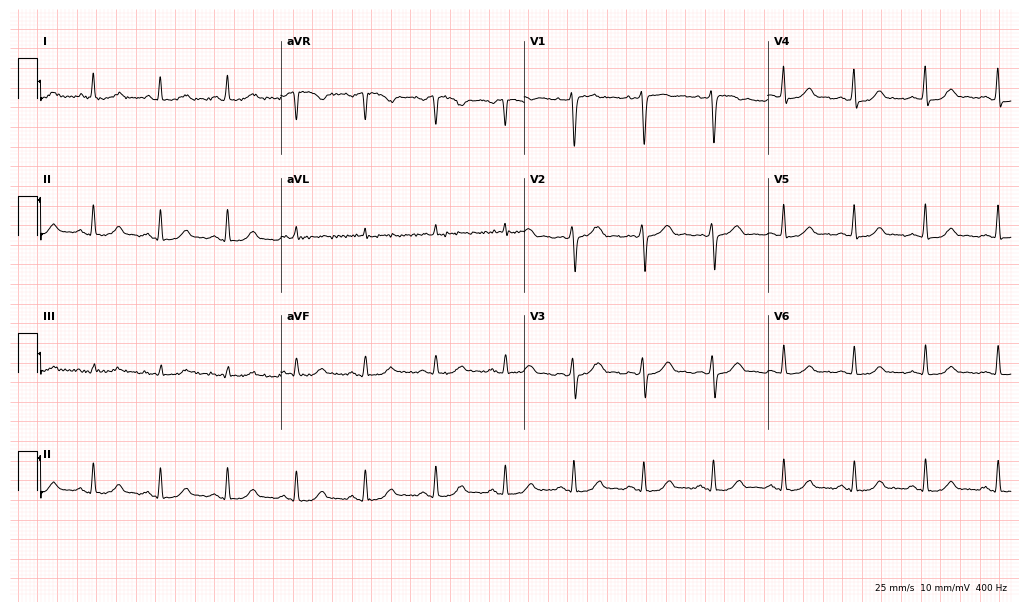
Resting 12-lead electrocardiogram (9.9-second recording at 400 Hz). Patient: a woman, 44 years old. Read as a normal ECG.